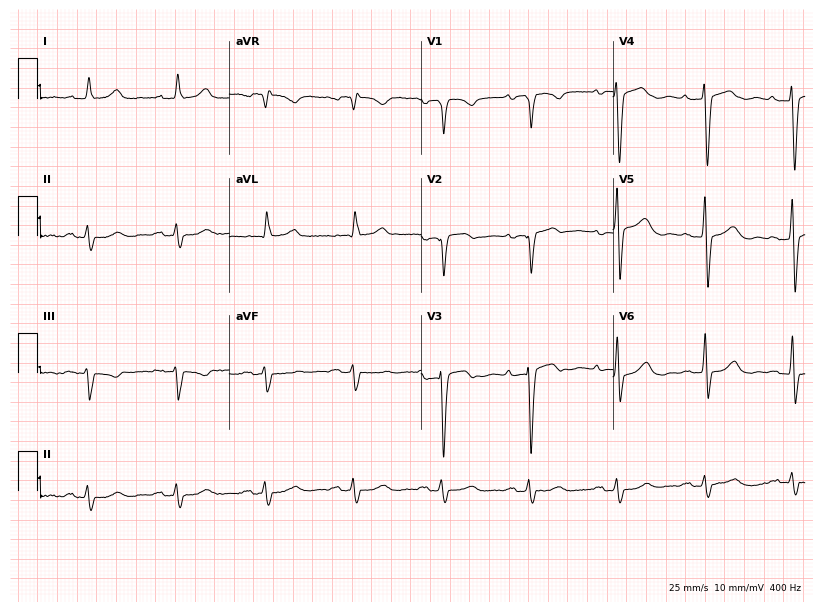
12-lead ECG from a woman, 80 years old. Screened for six findings — first-degree AV block, right bundle branch block, left bundle branch block, sinus bradycardia, atrial fibrillation, sinus tachycardia — none is recorded.